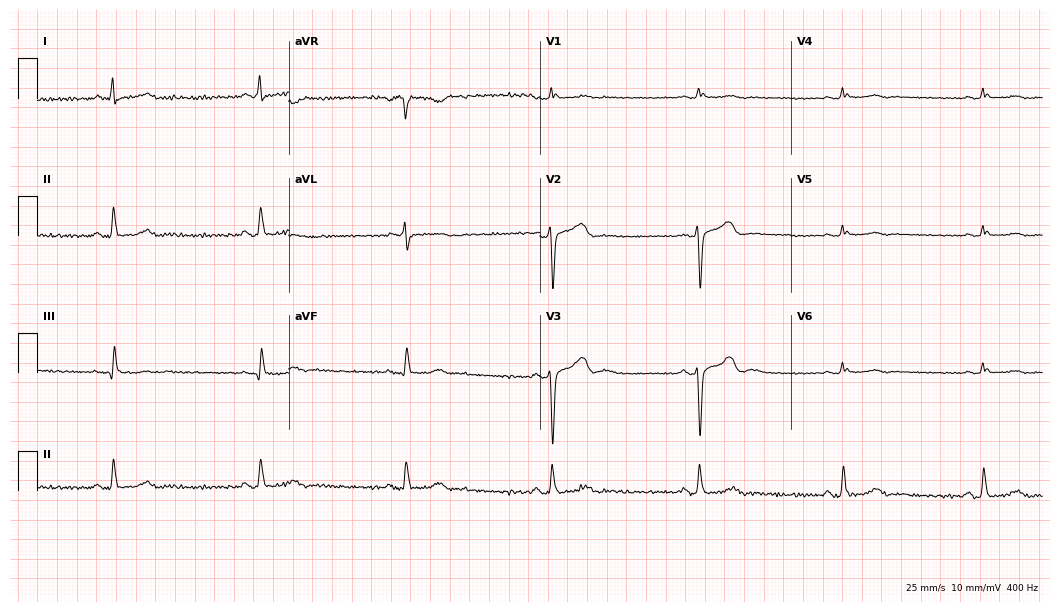
Resting 12-lead electrocardiogram. Patient: a 55-year-old male. The tracing shows sinus bradycardia (a sinus rate of 50 beats per minute or less).